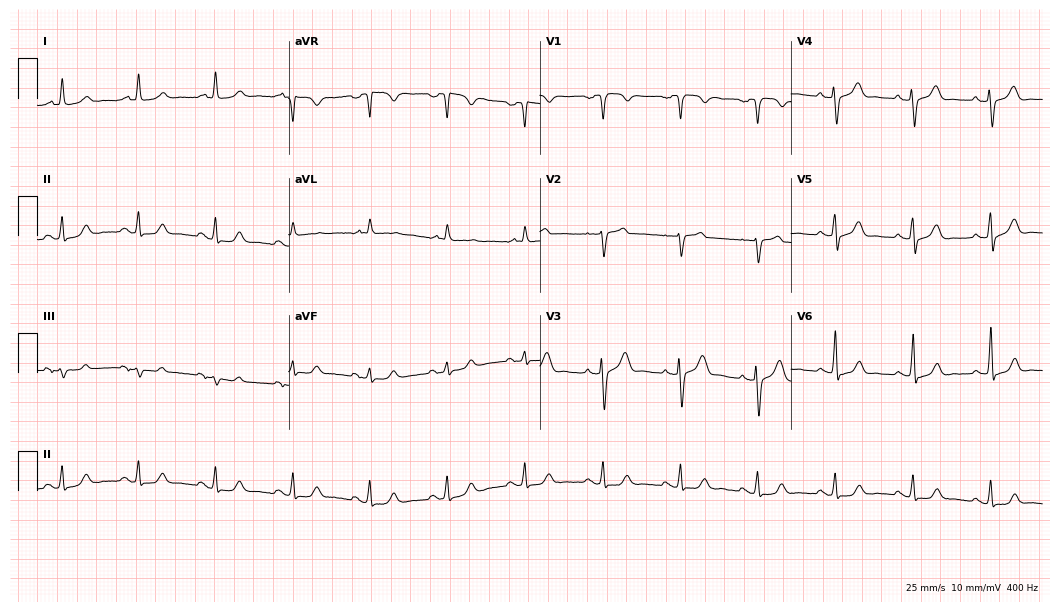
Electrocardiogram (10.2-second recording at 400 Hz), a 68-year-old male patient. Overall reading on record: normal ECG.